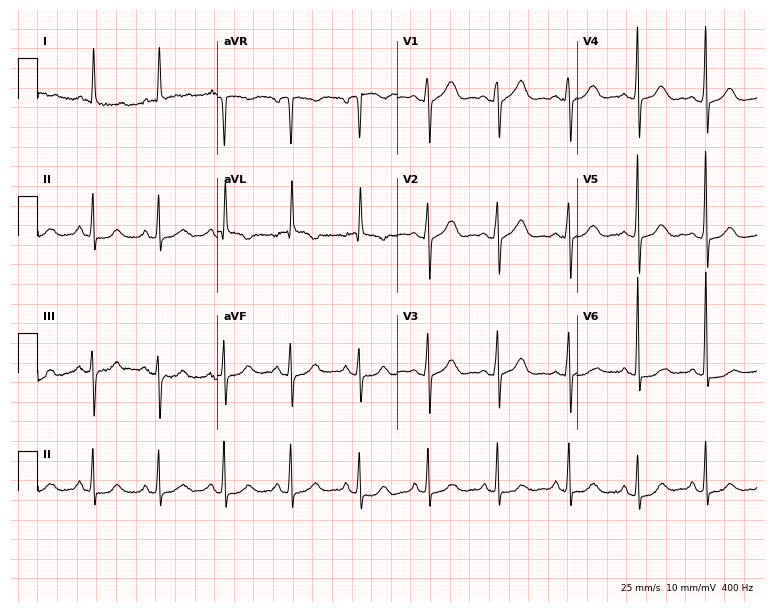
Electrocardiogram, a woman, 82 years old. Of the six screened findings (first-degree AV block, right bundle branch block (RBBB), left bundle branch block (LBBB), sinus bradycardia, atrial fibrillation (AF), sinus tachycardia), none is recorded.